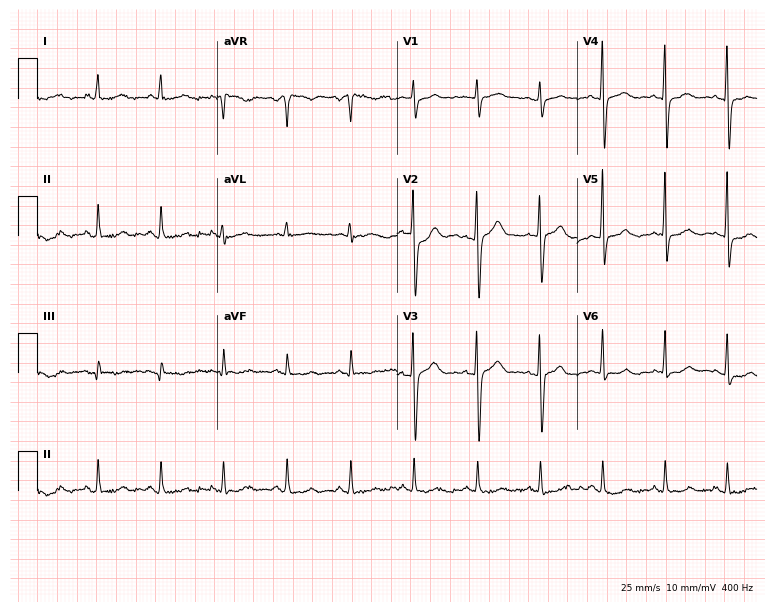
Electrocardiogram, a female, 45 years old. Overall reading on record: normal ECG.